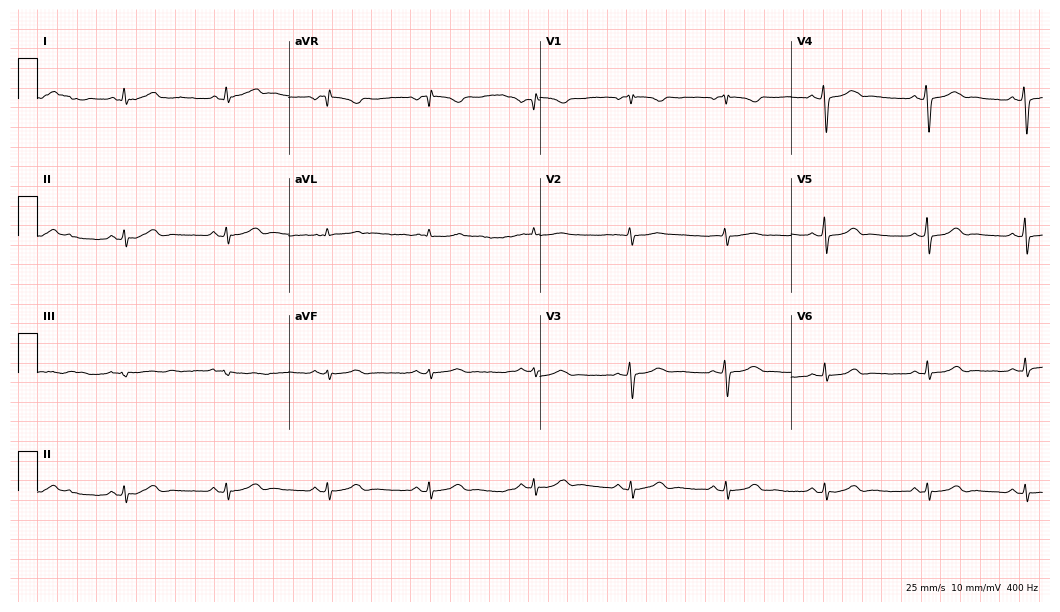
12-lead ECG from a 27-year-old female. No first-degree AV block, right bundle branch block, left bundle branch block, sinus bradycardia, atrial fibrillation or sinus tachycardia recorded for this tracing.